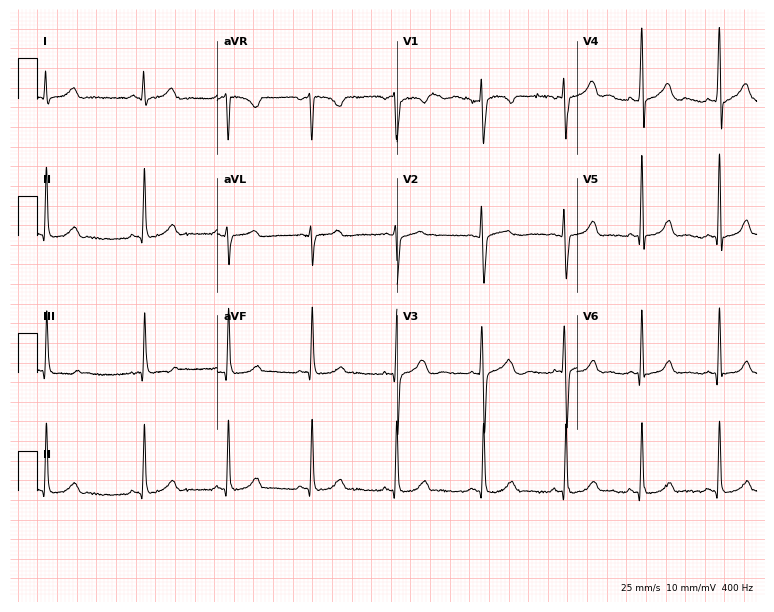
12-lead ECG (7.3-second recording at 400 Hz) from a 30-year-old female patient. Labelled as a normal ECG.